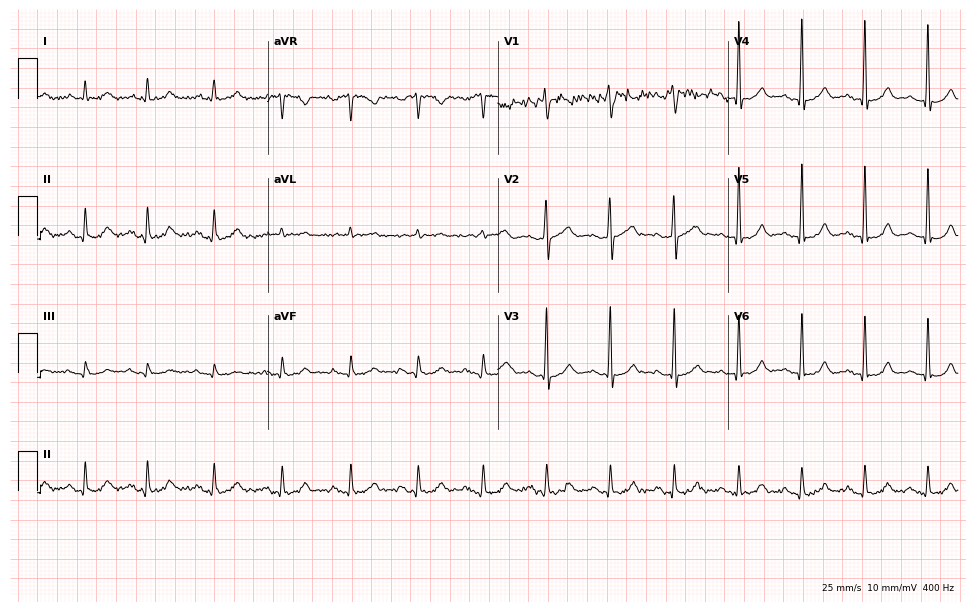
Electrocardiogram (9.4-second recording at 400 Hz), a male patient, 64 years old. Of the six screened findings (first-degree AV block, right bundle branch block, left bundle branch block, sinus bradycardia, atrial fibrillation, sinus tachycardia), none is recorded.